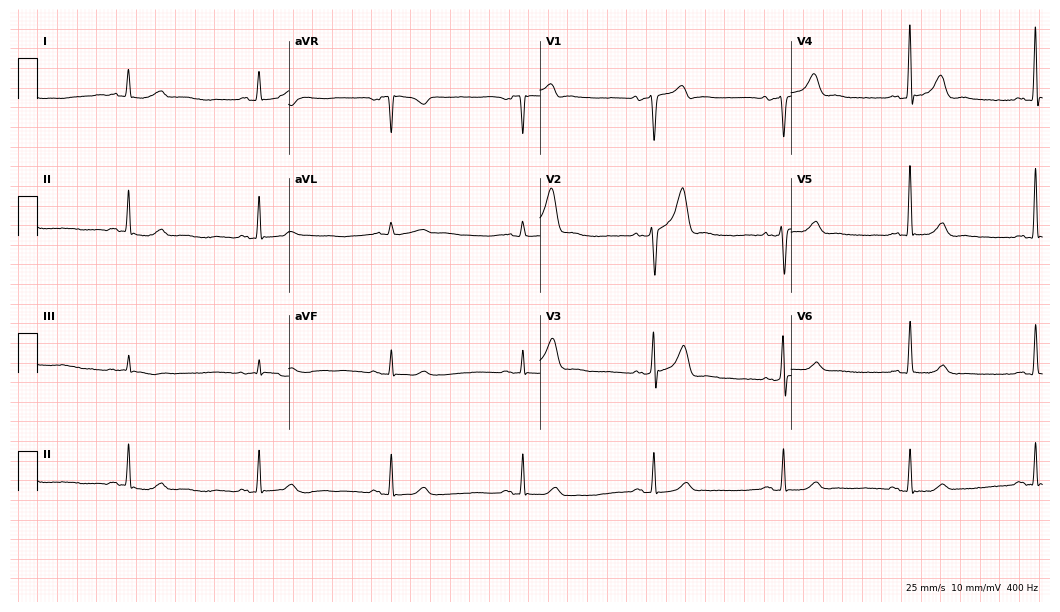
12-lead ECG from a 65-year-old male patient. Findings include sinus bradycardia (a sinus rate of 50 beats per minute or less).